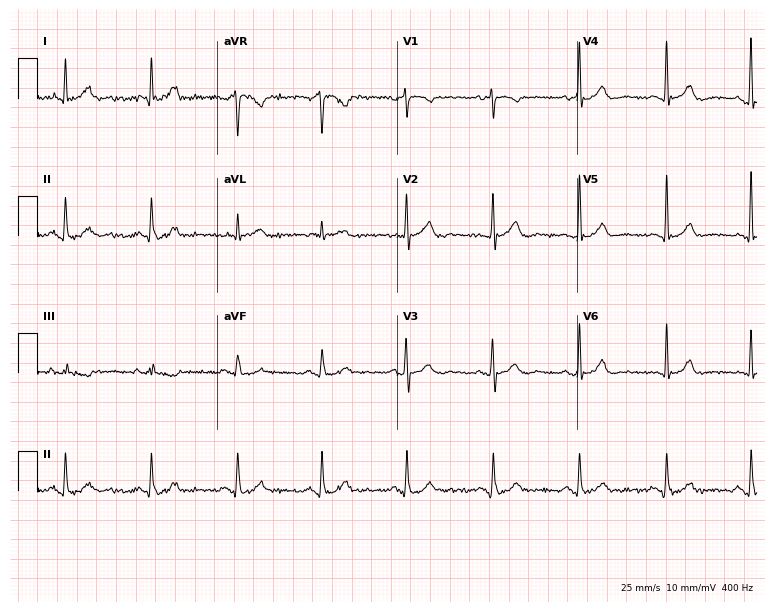
Resting 12-lead electrocardiogram. Patient: a 68-year-old woman. Read as a normal ECG.